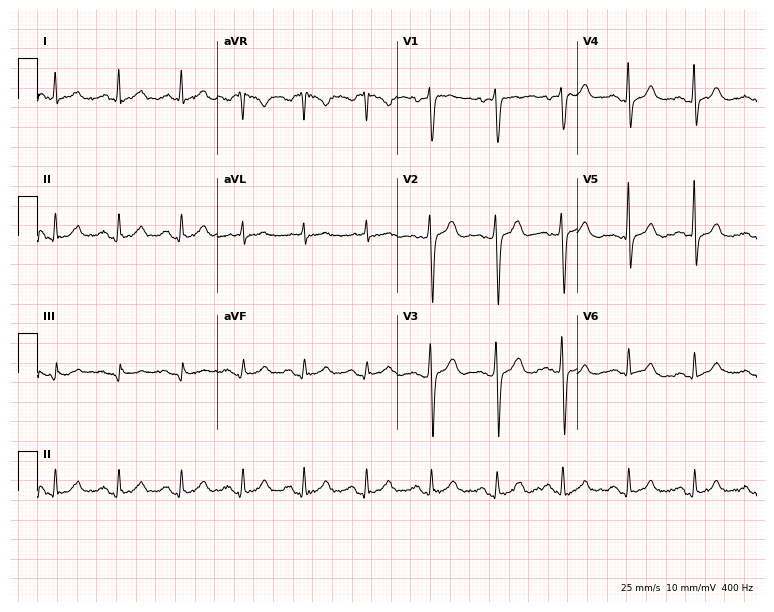
Standard 12-lead ECG recorded from a 33-year-old man. None of these six findings is recorded: first-degree AV block, right bundle branch block, left bundle branch block, sinus bradycardia, atrial fibrillation, sinus tachycardia. Findings outside these six are not listed.